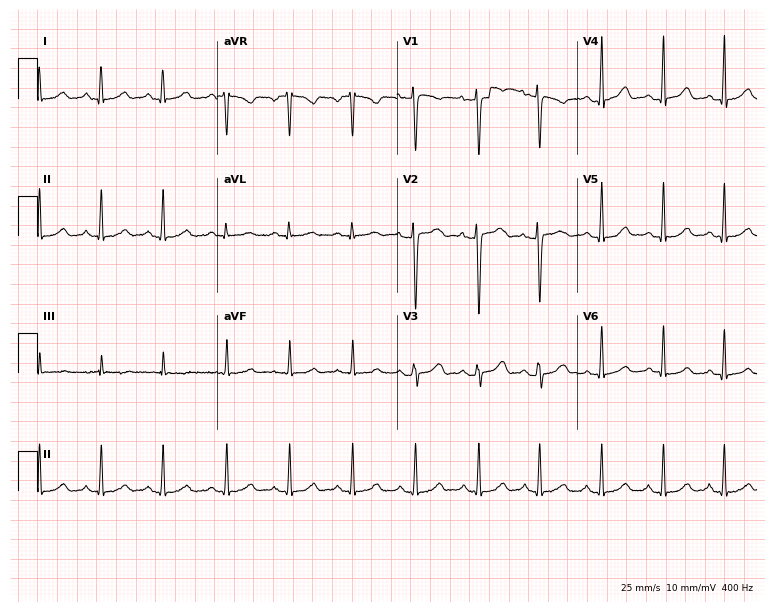
12-lead ECG from a female patient, 29 years old. Labelled as a normal ECG.